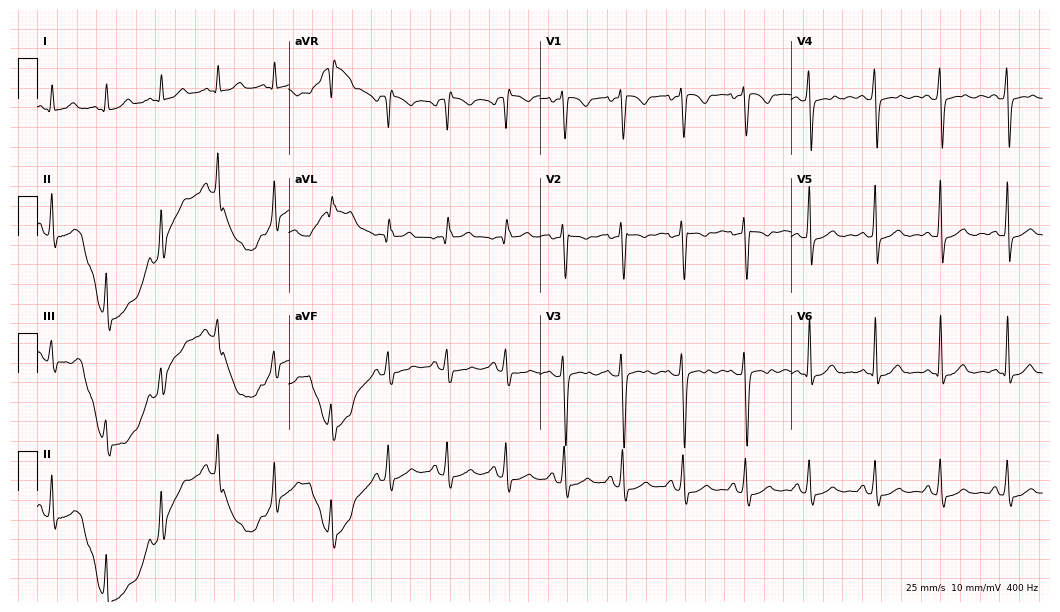
12-lead ECG from a 27-year-old woman (10.2-second recording at 400 Hz). No first-degree AV block, right bundle branch block, left bundle branch block, sinus bradycardia, atrial fibrillation or sinus tachycardia recorded for this tracing.